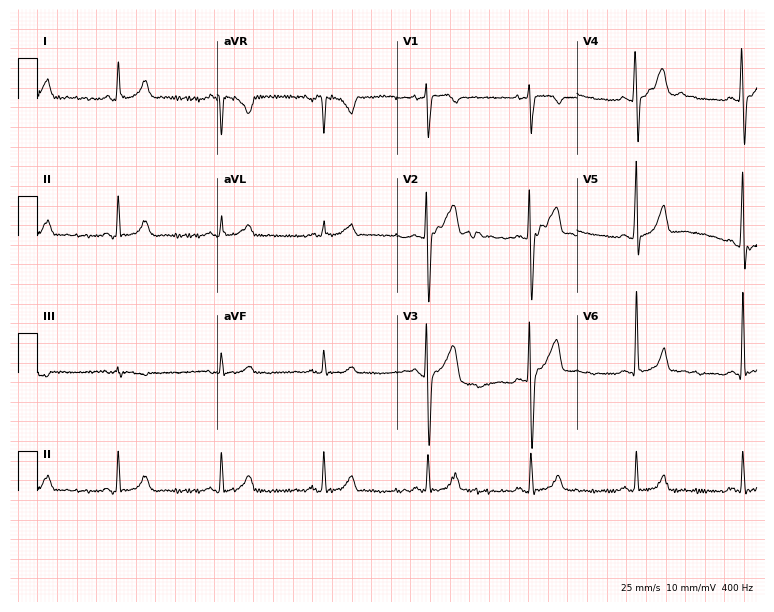
ECG — a male patient, 27 years old. Labelled as a normal ECG.